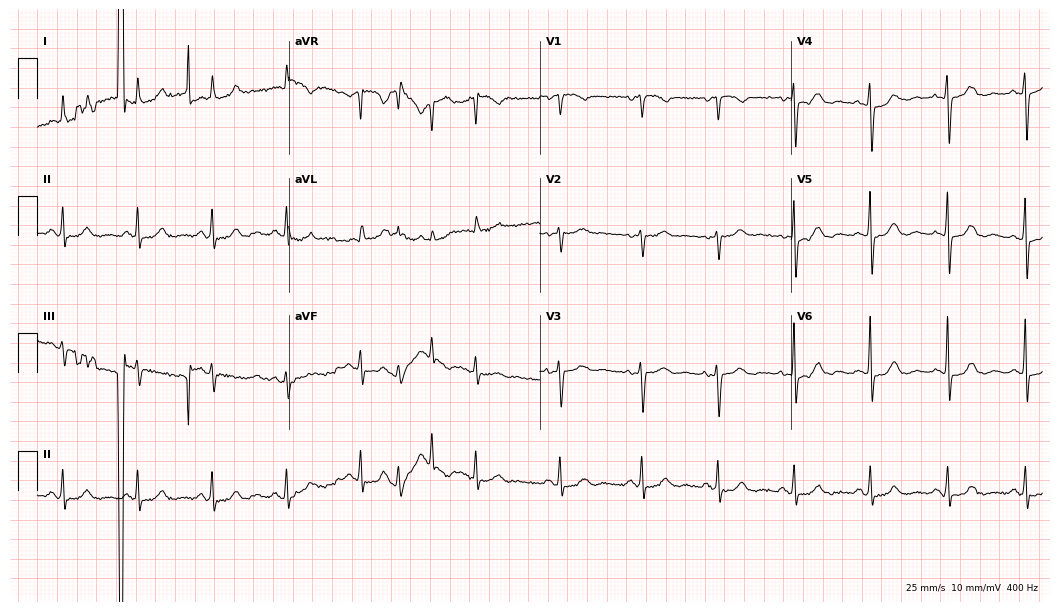
ECG (10.2-second recording at 400 Hz) — a female, 58 years old. Screened for six findings — first-degree AV block, right bundle branch block, left bundle branch block, sinus bradycardia, atrial fibrillation, sinus tachycardia — none is recorded.